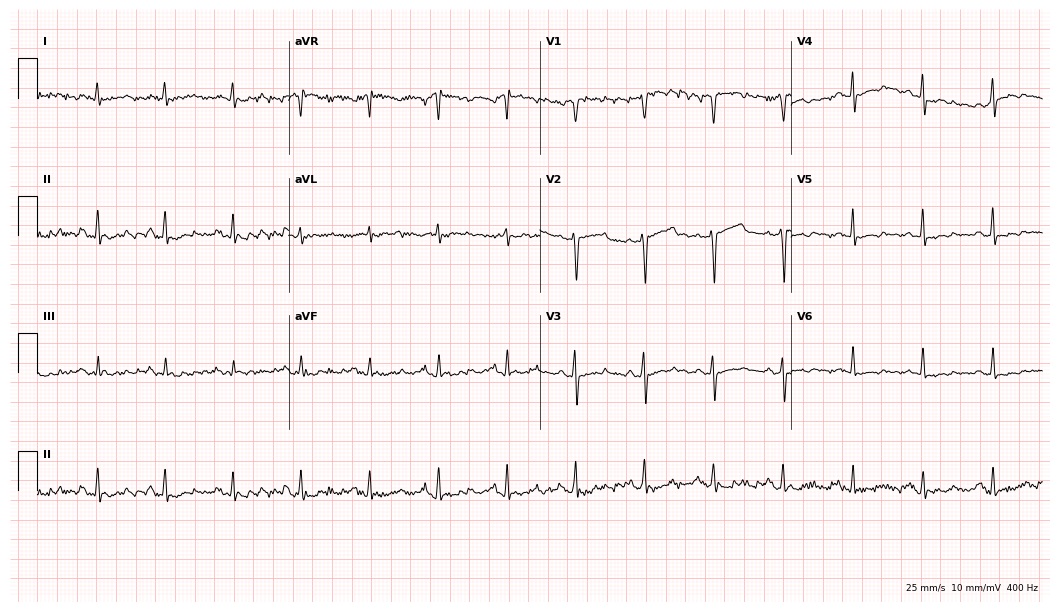
12-lead ECG (10.2-second recording at 400 Hz) from a woman, 54 years old. Screened for six findings — first-degree AV block, right bundle branch block, left bundle branch block, sinus bradycardia, atrial fibrillation, sinus tachycardia — none is recorded. Findings outside these six are not listed.